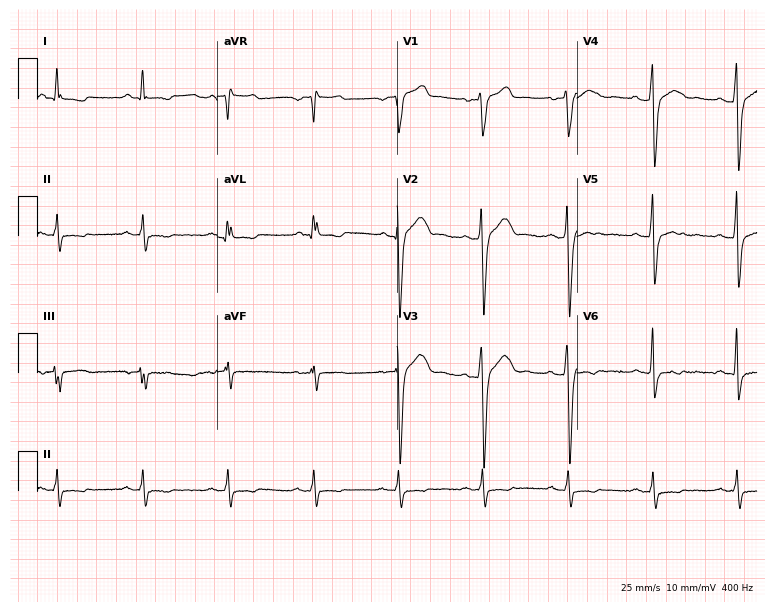
12-lead ECG from a 43-year-old man (7.3-second recording at 400 Hz). No first-degree AV block, right bundle branch block, left bundle branch block, sinus bradycardia, atrial fibrillation or sinus tachycardia recorded for this tracing.